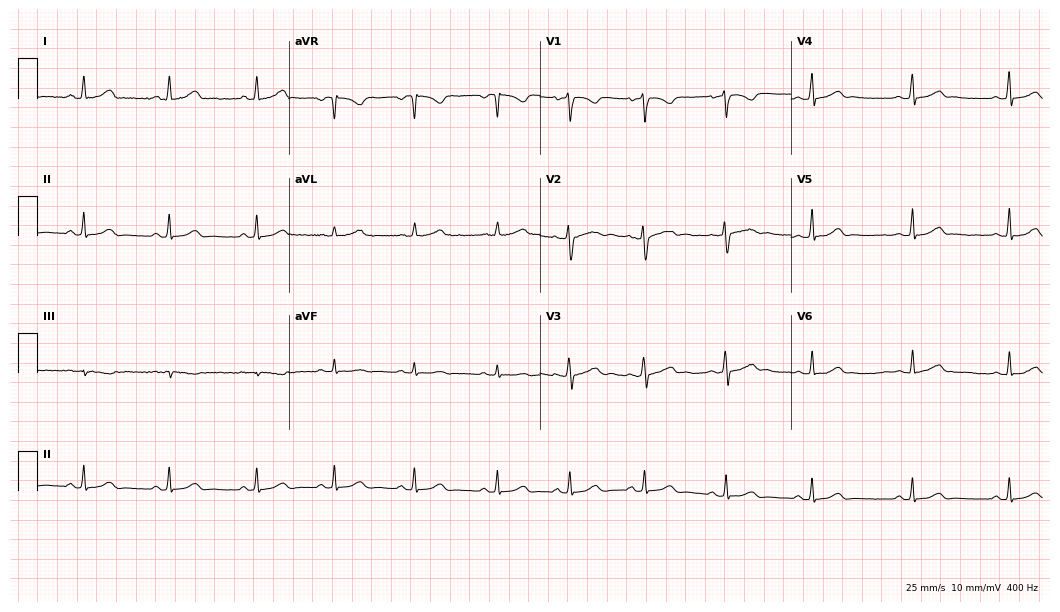
12-lead ECG from a 21-year-old female (10.2-second recording at 400 Hz). Recorded interpretation: within normal limits.